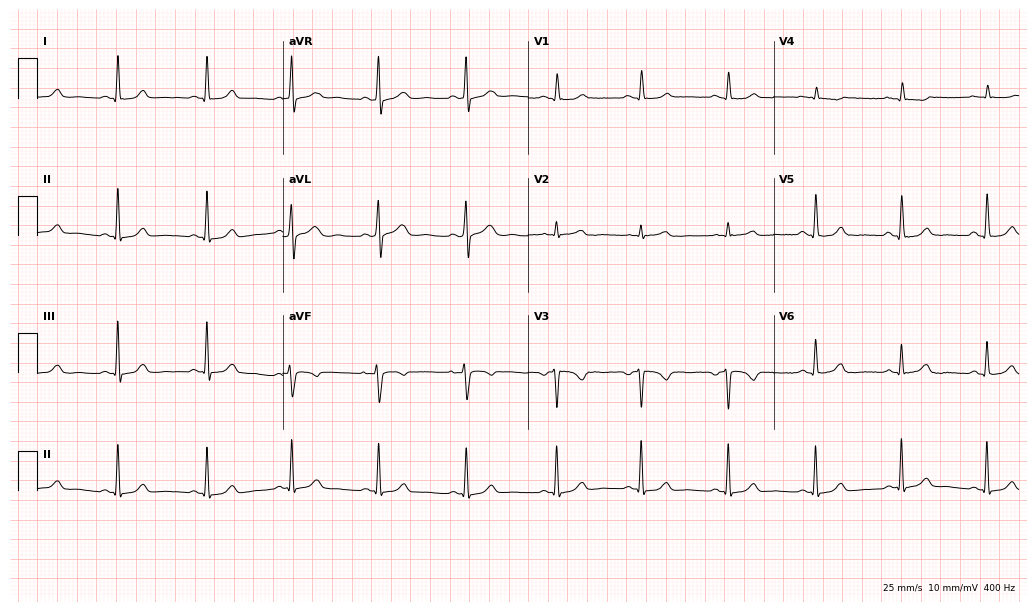
Electrocardiogram, a female, 44 years old. Of the six screened findings (first-degree AV block, right bundle branch block, left bundle branch block, sinus bradycardia, atrial fibrillation, sinus tachycardia), none is recorded. Findings outside these six are not listed.